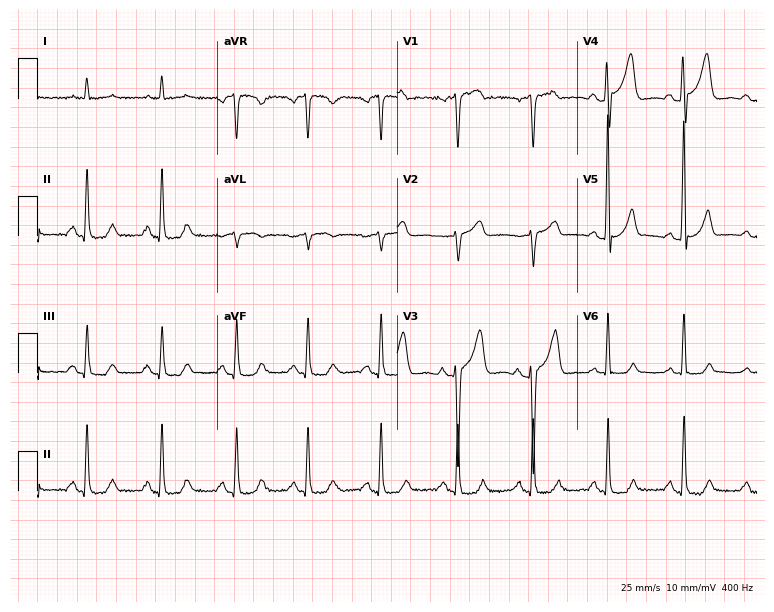
Resting 12-lead electrocardiogram (7.3-second recording at 400 Hz). Patient: a 77-year-old male. Read as a normal ECG.